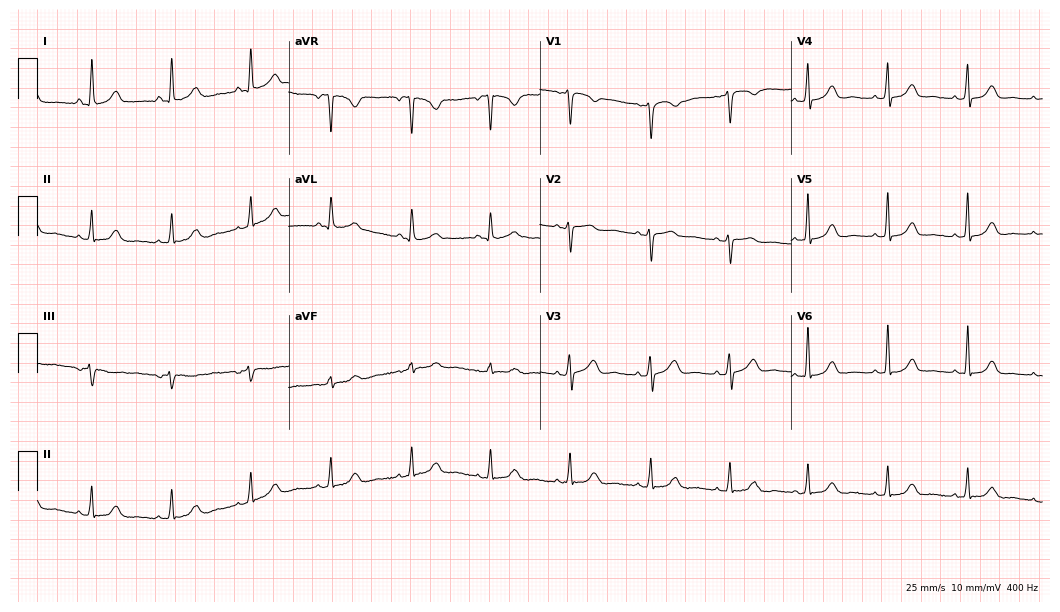
Resting 12-lead electrocardiogram. Patient: a 61-year-old woman. None of these six findings is recorded: first-degree AV block, right bundle branch block (RBBB), left bundle branch block (LBBB), sinus bradycardia, atrial fibrillation (AF), sinus tachycardia.